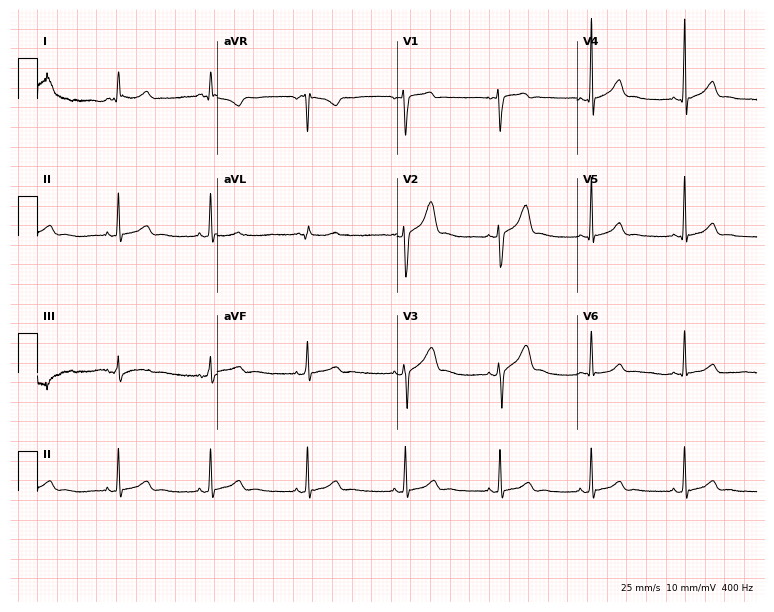
ECG (7.3-second recording at 400 Hz) — a 33-year-old woman. Labelled as a normal ECG.